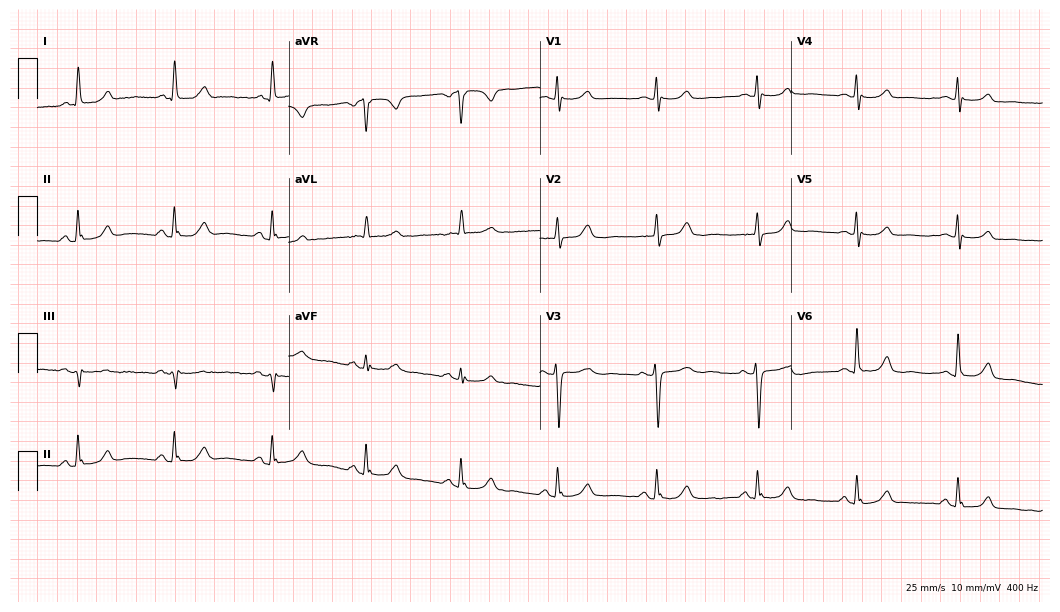
Standard 12-lead ECG recorded from a female patient, 75 years old (10.2-second recording at 400 Hz). Read as a normal ECG.